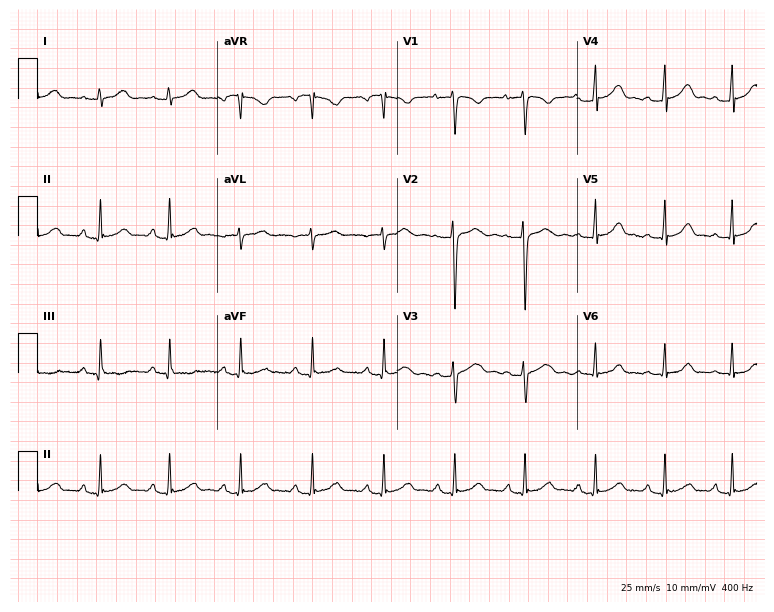
Resting 12-lead electrocardiogram. Patient: a 24-year-old woman. None of these six findings is recorded: first-degree AV block, right bundle branch block (RBBB), left bundle branch block (LBBB), sinus bradycardia, atrial fibrillation (AF), sinus tachycardia. Other findings, if any, are not listed.